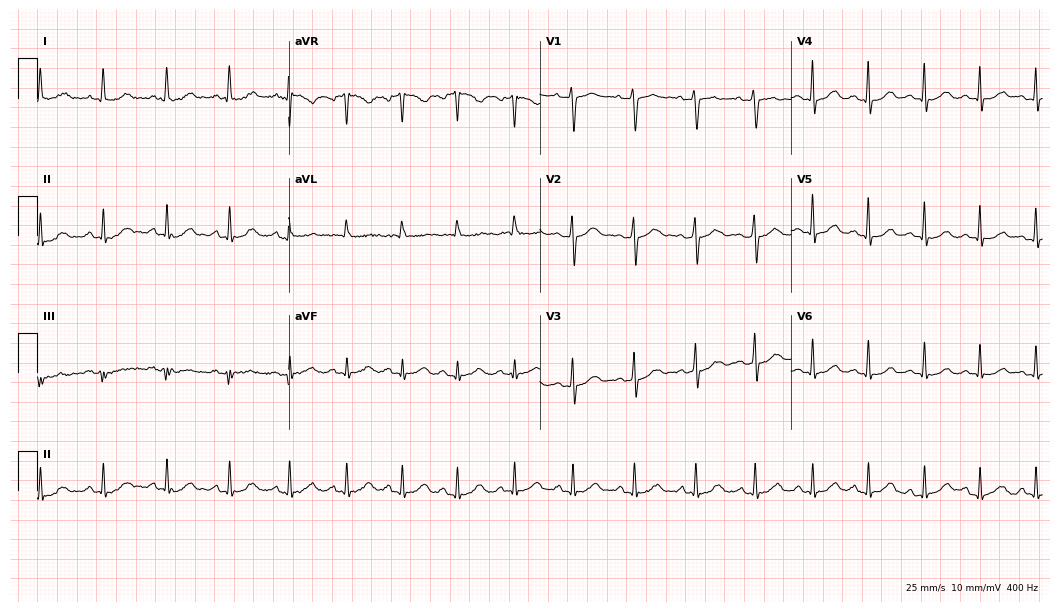
12-lead ECG from a 47-year-old female. Shows sinus tachycardia (a sinus rate of 100 beats per minute or more).